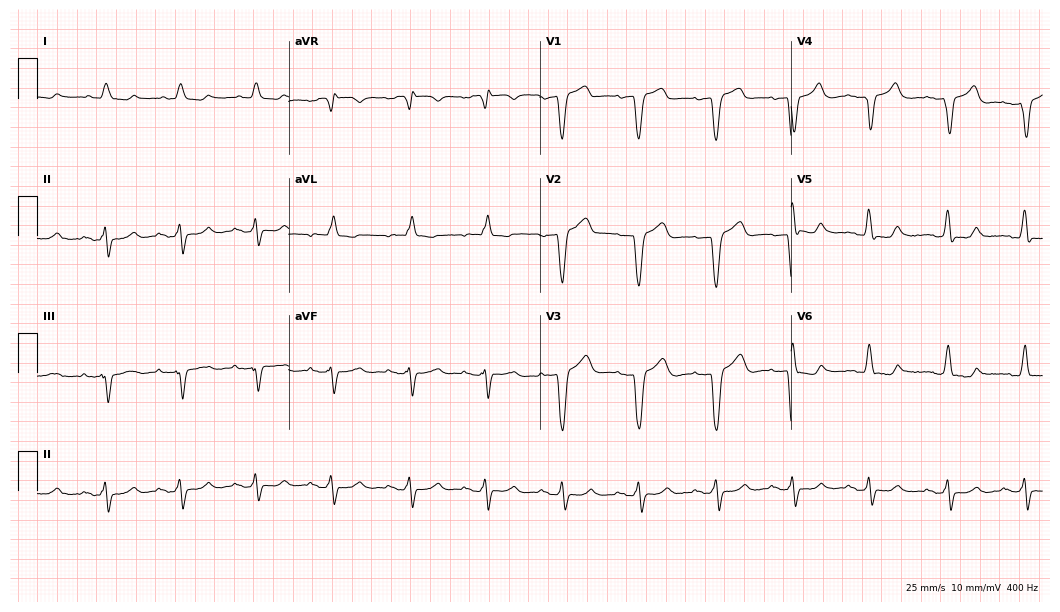
ECG — a male patient, 83 years old. Screened for six findings — first-degree AV block, right bundle branch block, left bundle branch block, sinus bradycardia, atrial fibrillation, sinus tachycardia — none is recorded. Findings outside these six are not listed.